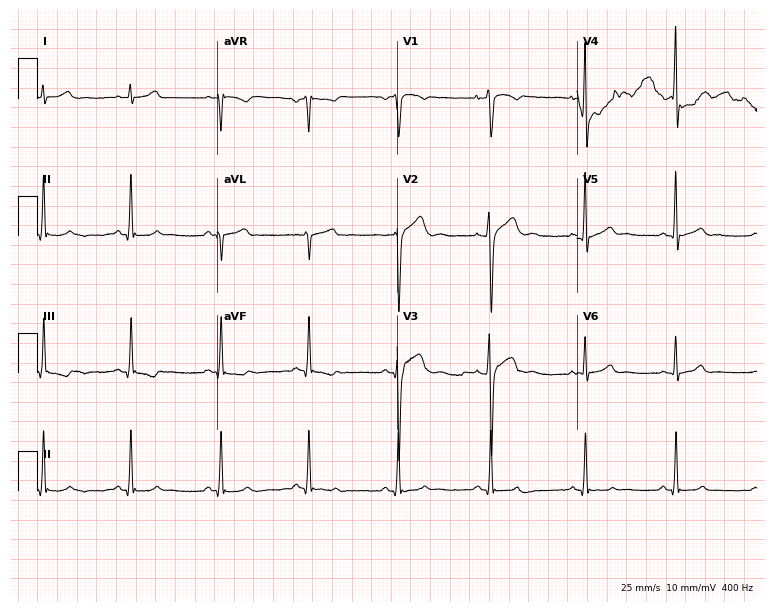
Electrocardiogram (7.3-second recording at 400 Hz), a man, 25 years old. Of the six screened findings (first-degree AV block, right bundle branch block, left bundle branch block, sinus bradycardia, atrial fibrillation, sinus tachycardia), none is recorded. Only these six findings were labelled.